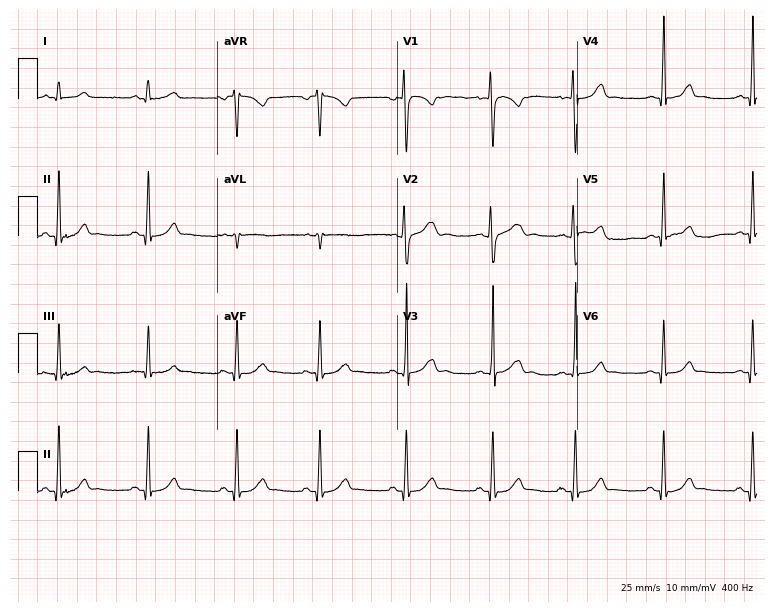
12-lead ECG from a 17-year-old female patient (7.3-second recording at 400 Hz). No first-degree AV block, right bundle branch block, left bundle branch block, sinus bradycardia, atrial fibrillation or sinus tachycardia recorded for this tracing. Findings outside these six are not listed.